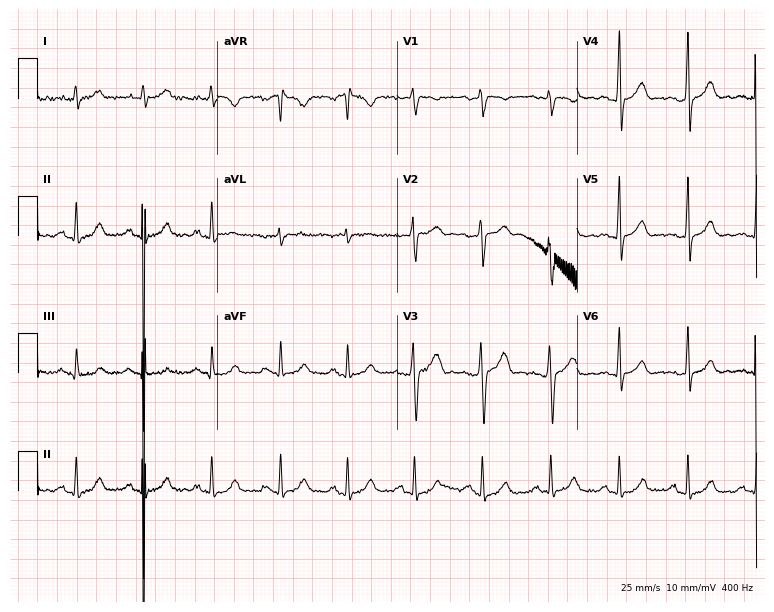
12-lead ECG from a man, 24 years old. Recorded interpretation: within normal limits.